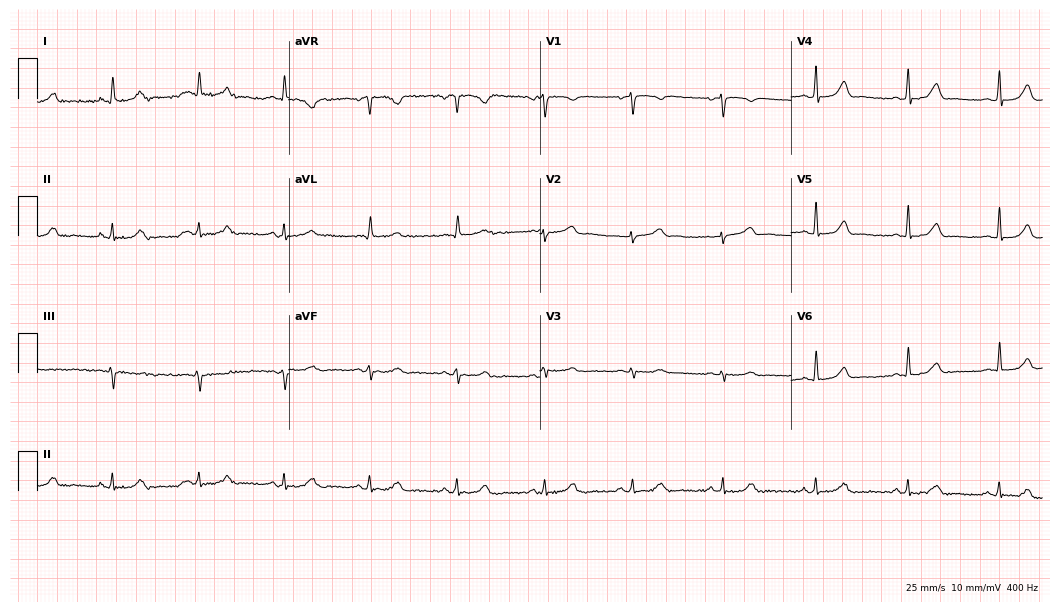
Standard 12-lead ECG recorded from a woman, 45 years old. Read as a normal ECG.